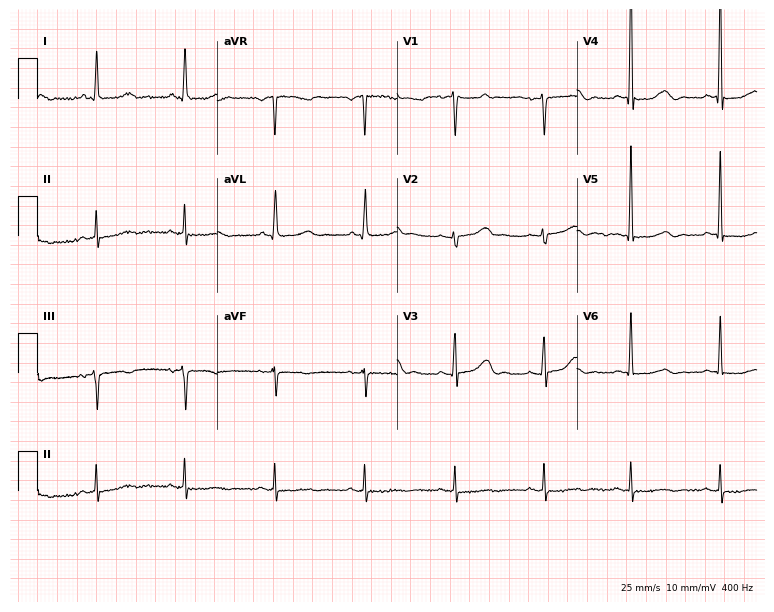
Electrocardiogram (7.3-second recording at 400 Hz), a 43-year-old woman. Of the six screened findings (first-degree AV block, right bundle branch block, left bundle branch block, sinus bradycardia, atrial fibrillation, sinus tachycardia), none is recorded.